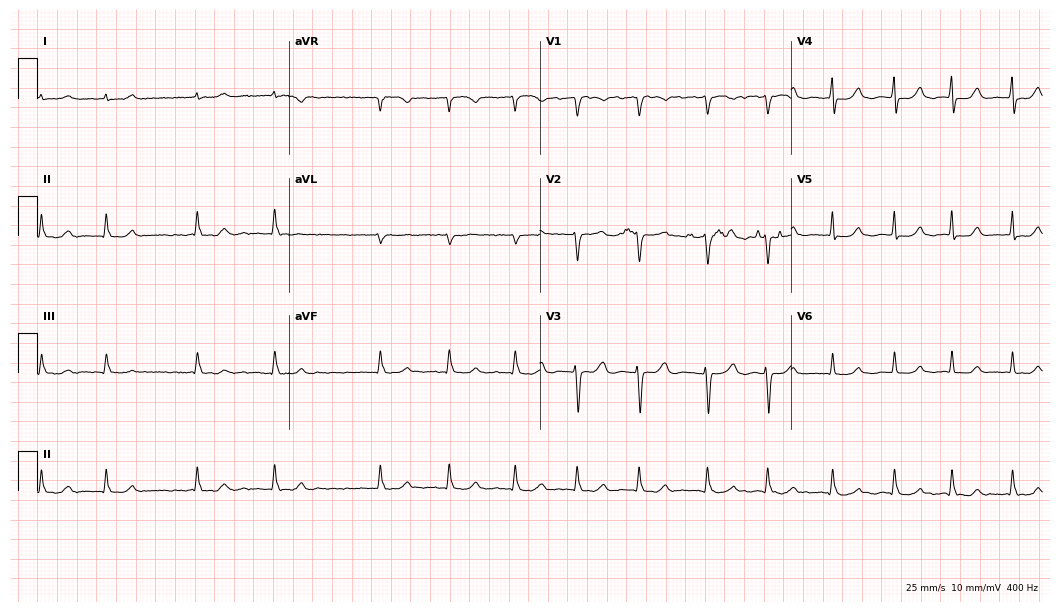
12-lead ECG (10.2-second recording at 400 Hz) from a female, 83 years old. Findings include atrial fibrillation.